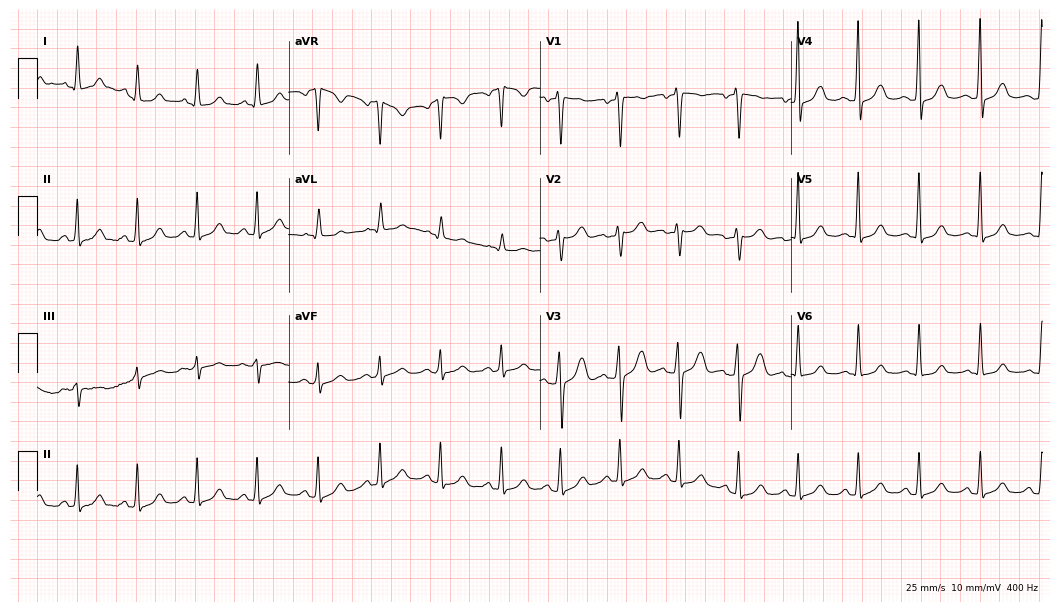
Resting 12-lead electrocardiogram. Patient: a female, 36 years old. Read as a normal ECG.